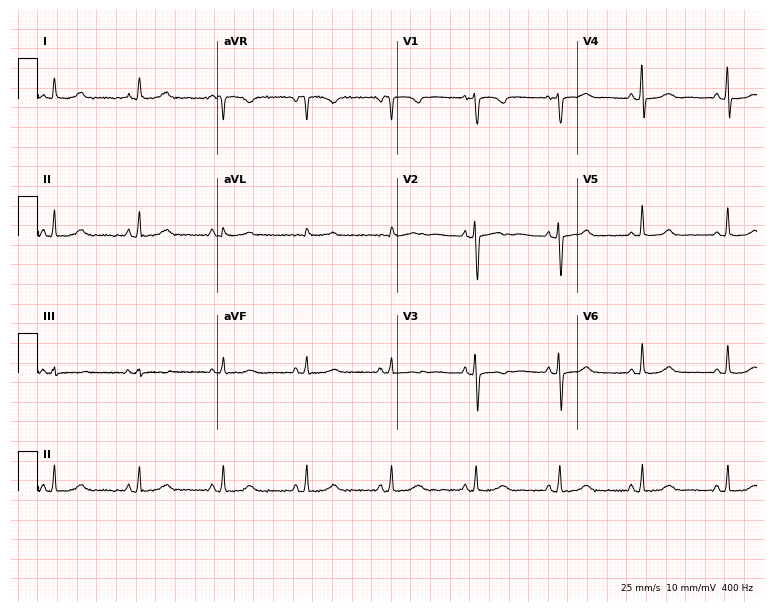
Resting 12-lead electrocardiogram. Patient: a 72-year-old female. Read as a normal ECG.